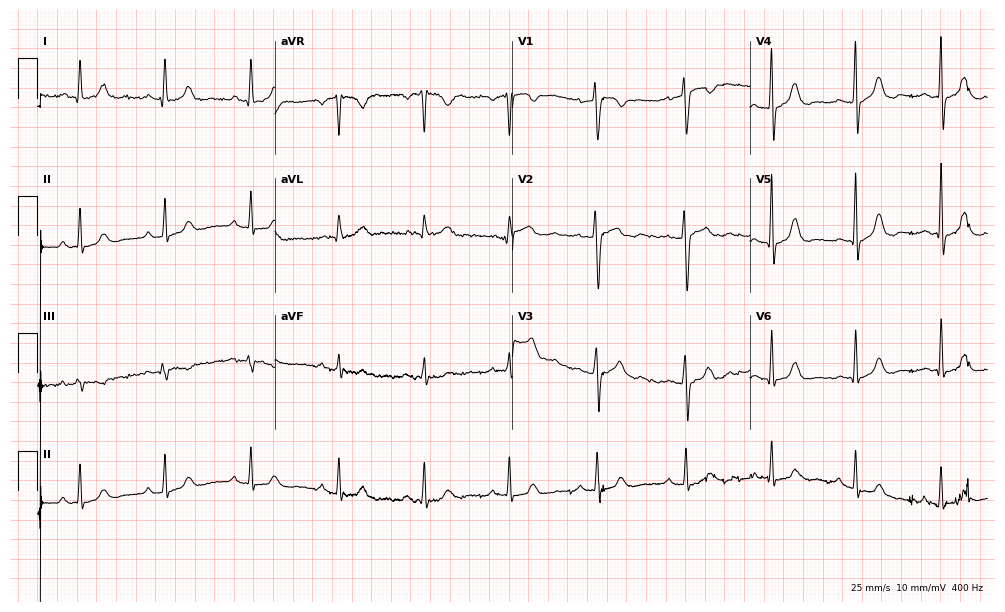
12-lead ECG from a female, 56 years old (9.7-second recording at 400 Hz). Recorded interpretation: within normal limits.